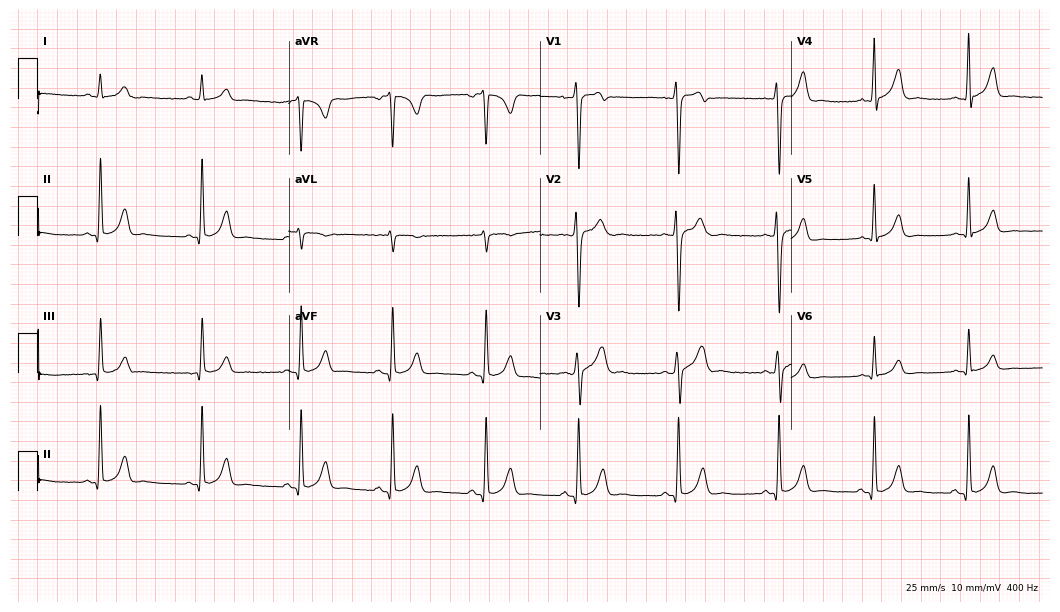
Resting 12-lead electrocardiogram (10.2-second recording at 400 Hz). Patient: a 24-year-old man. None of these six findings is recorded: first-degree AV block, right bundle branch block (RBBB), left bundle branch block (LBBB), sinus bradycardia, atrial fibrillation (AF), sinus tachycardia. Findings outside these six are not listed.